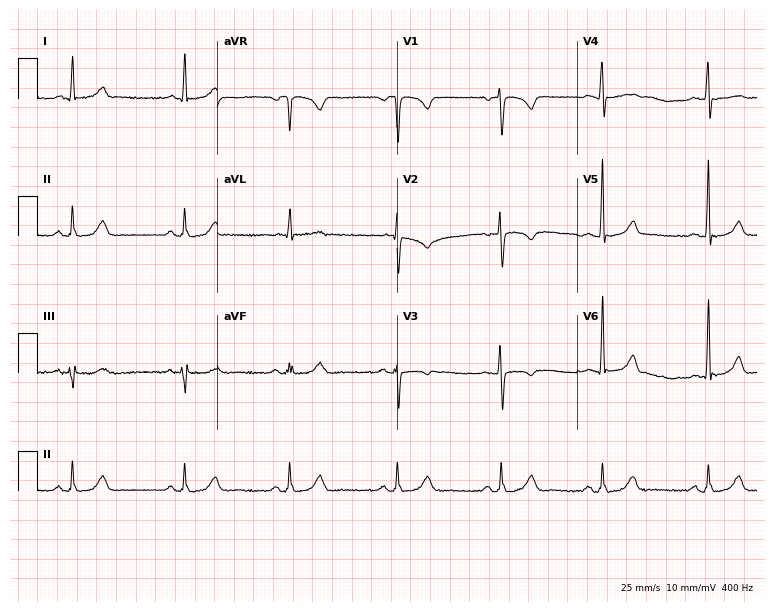
12-lead ECG from a female, 41 years old (7.3-second recording at 400 Hz). No first-degree AV block, right bundle branch block (RBBB), left bundle branch block (LBBB), sinus bradycardia, atrial fibrillation (AF) or sinus tachycardia recorded for this tracing.